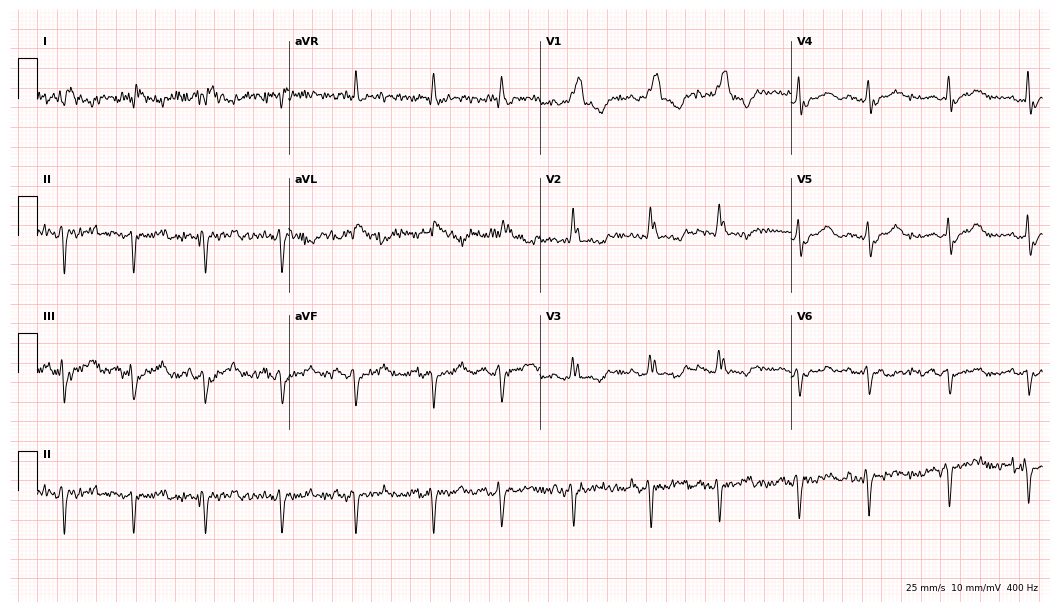
12-lead ECG (10.2-second recording at 400 Hz) from a female, 76 years old. Screened for six findings — first-degree AV block, right bundle branch block (RBBB), left bundle branch block (LBBB), sinus bradycardia, atrial fibrillation (AF), sinus tachycardia — none is recorded. Only these six findings were labelled.